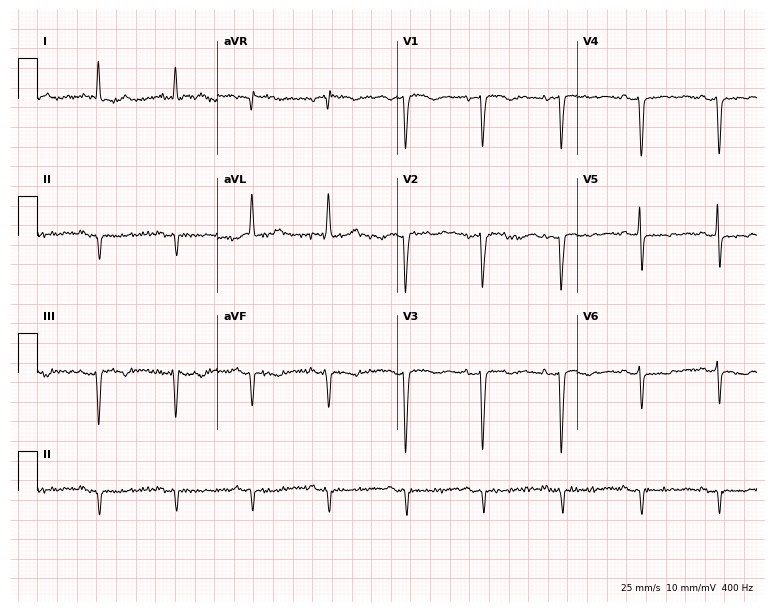
Electrocardiogram, a 75-year-old woman. Of the six screened findings (first-degree AV block, right bundle branch block (RBBB), left bundle branch block (LBBB), sinus bradycardia, atrial fibrillation (AF), sinus tachycardia), none is recorded. Only these six findings were labelled.